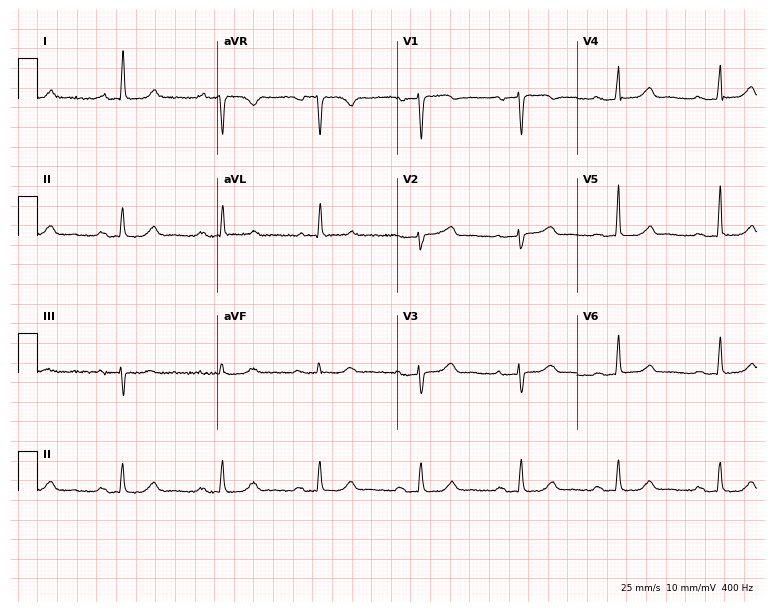
Electrocardiogram, a female, 78 years old. Interpretation includes first-degree AV block.